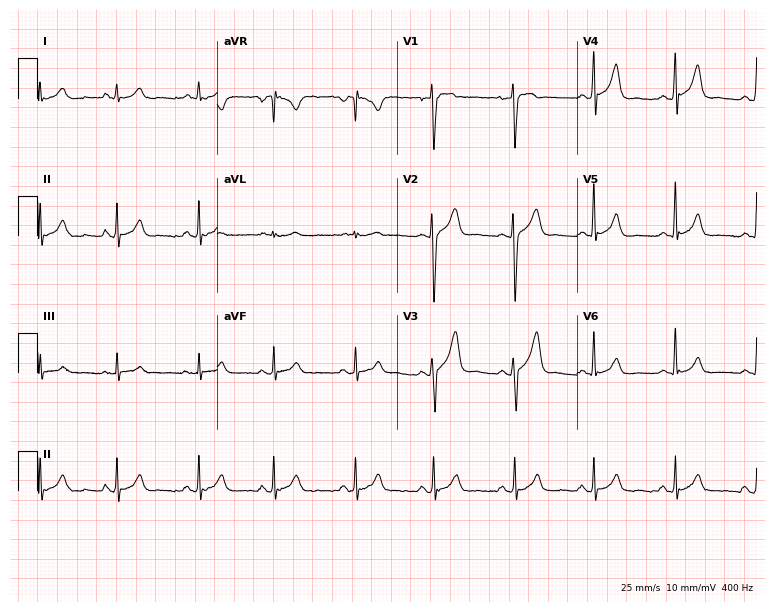
Resting 12-lead electrocardiogram. Patient: a 46-year-old man. Read as a normal ECG.